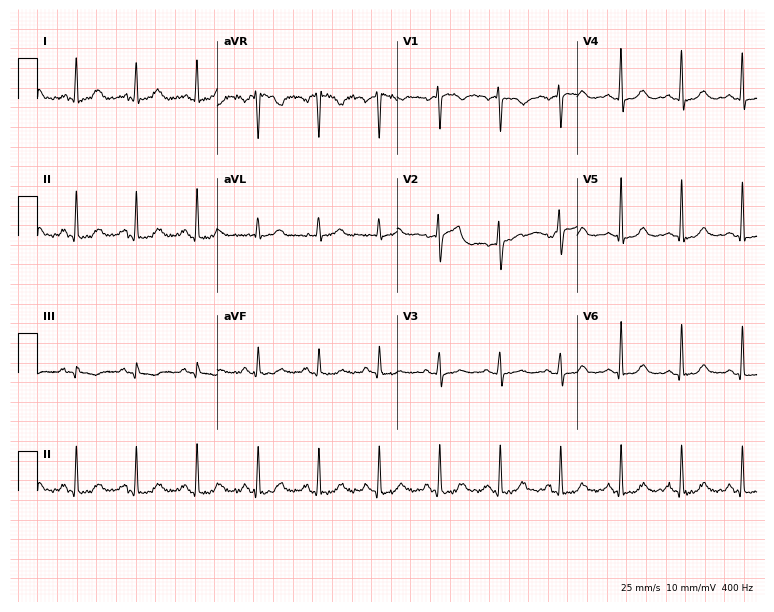
Standard 12-lead ECG recorded from a woman, 49 years old (7.3-second recording at 400 Hz). None of these six findings is recorded: first-degree AV block, right bundle branch block (RBBB), left bundle branch block (LBBB), sinus bradycardia, atrial fibrillation (AF), sinus tachycardia.